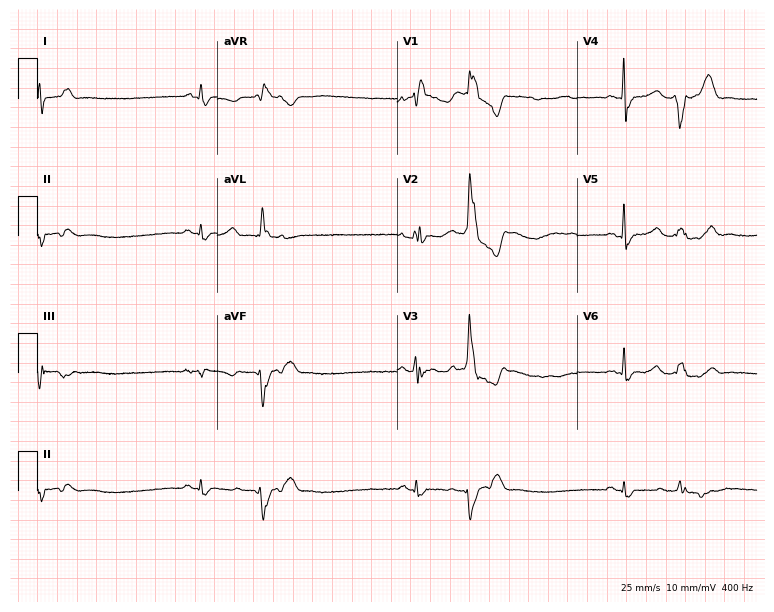
Electrocardiogram, a 41-year-old woman. Interpretation includes right bundle branch block.